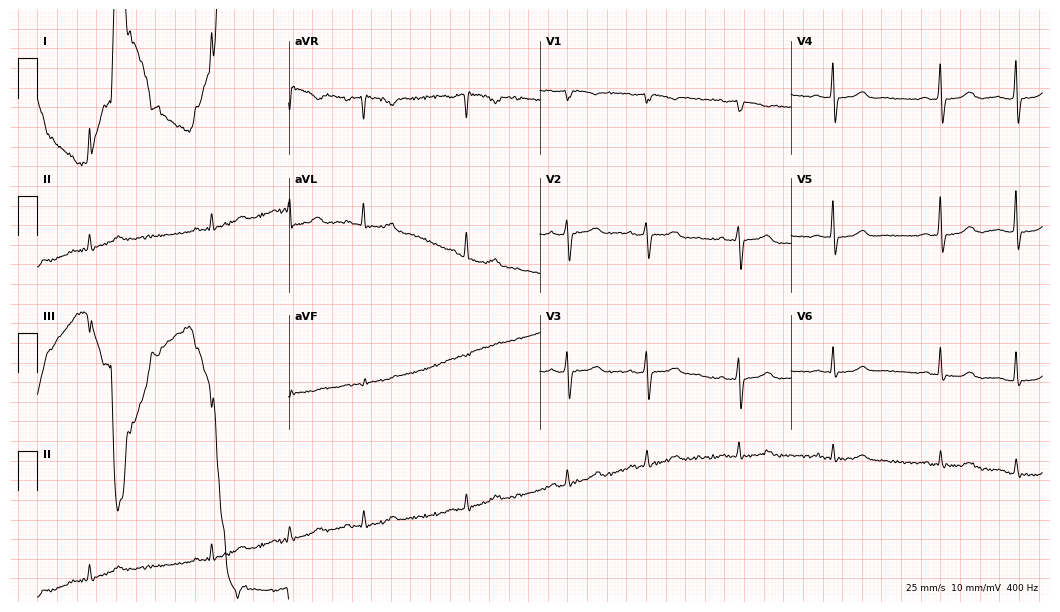
Electrocardiogram, a 71-year-old woman. Of the six screened findings (first-degree AV block, right bundle branch block, left bundle branch block, sinus bradycardia, atrial fibrillation, sinus tachycardia), none is recorded. Other findings, if any, are not listed.